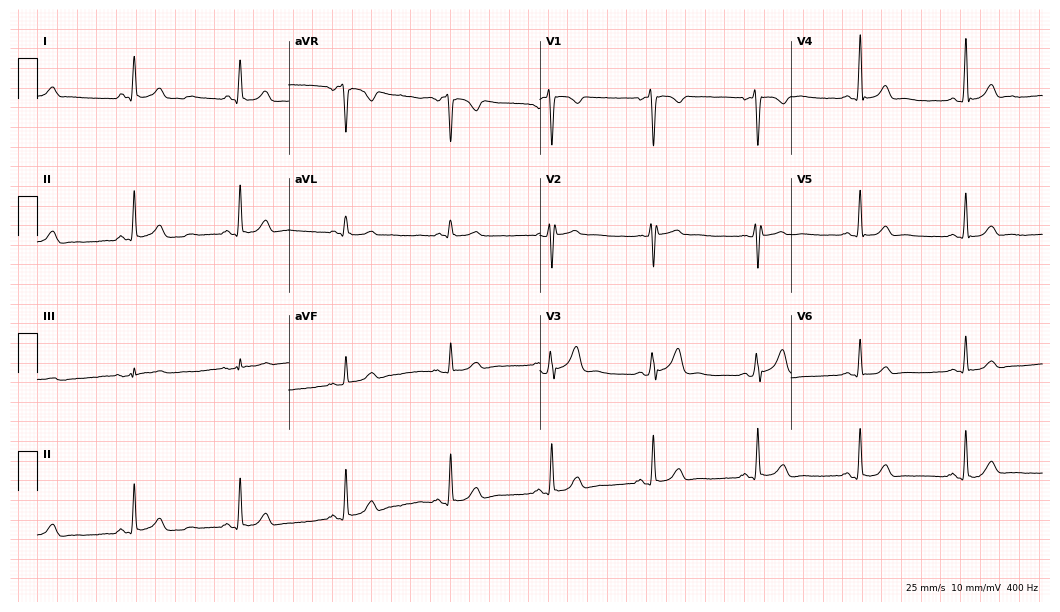
ECG (10.2-second recording at 400 Hz) — a 36-year-old man. Screened for six findings — first-degree AV block, right bundle branch block, left bundle branch block, sinus bradycardia, atrial fibrillation, sinus tachycardia — none is recorded. Only these six findings were labelled.